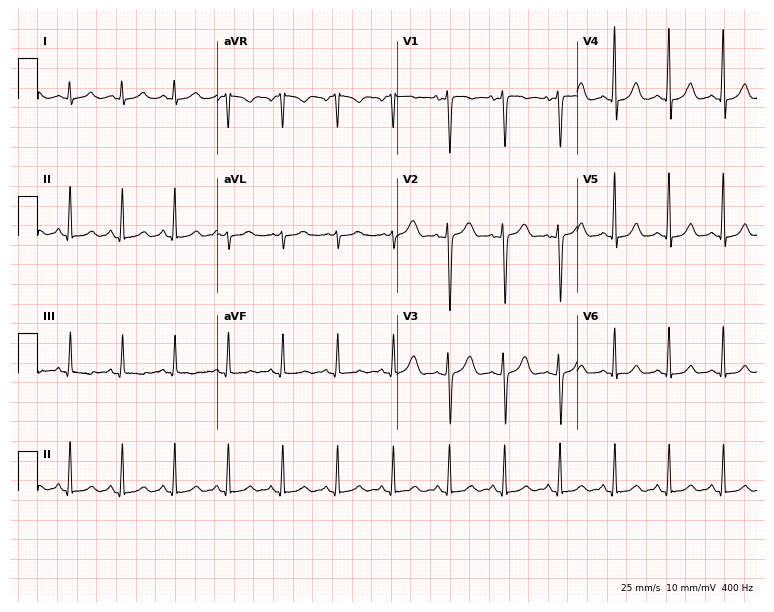
Resting 12-lead electrocardiogram. Patient: a female, 29 years old. The tracing shows sinus tachycardia (a sinus rate of 100 beats per minute or more).